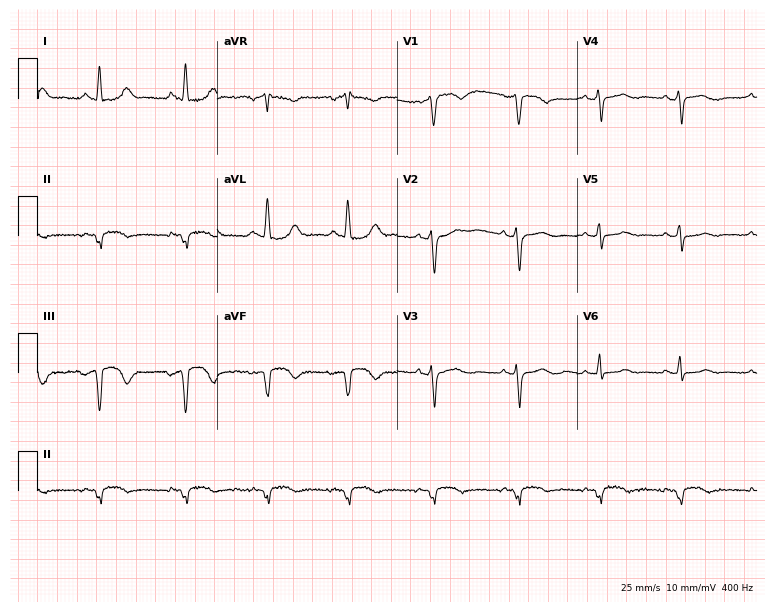
Electrocardiogram, a 35-year-old woman. Of the six screened findings (first-degree AV block, right bundle branch block, left bundle branch block, sinus bradycardia, atrial fibrillation, sinus tachycardia), none is recorded.